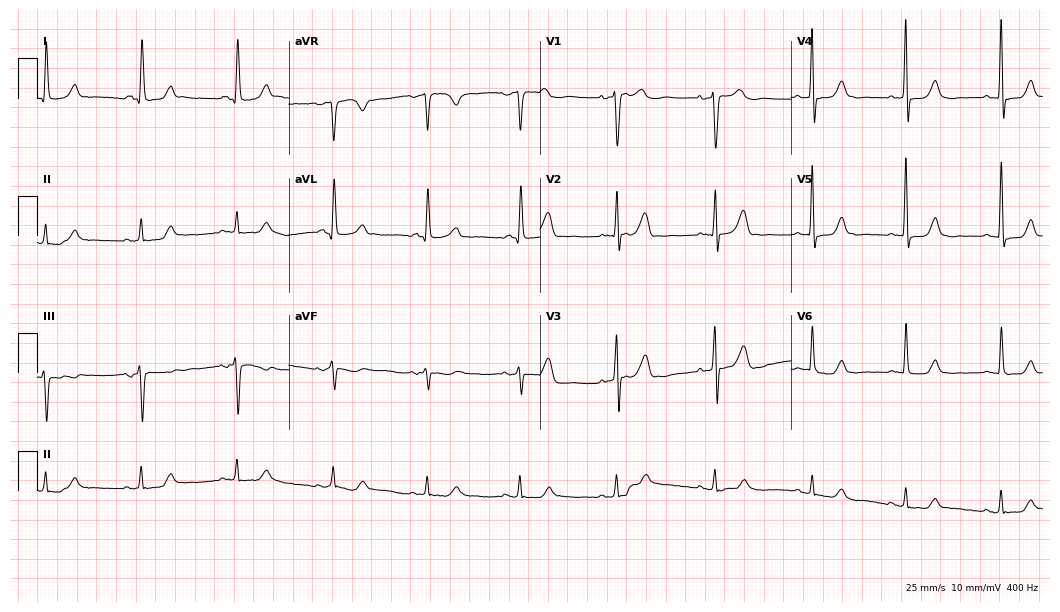
Electrocardiogram, a 61-year-old female. Overall reading on record: normal ECG.